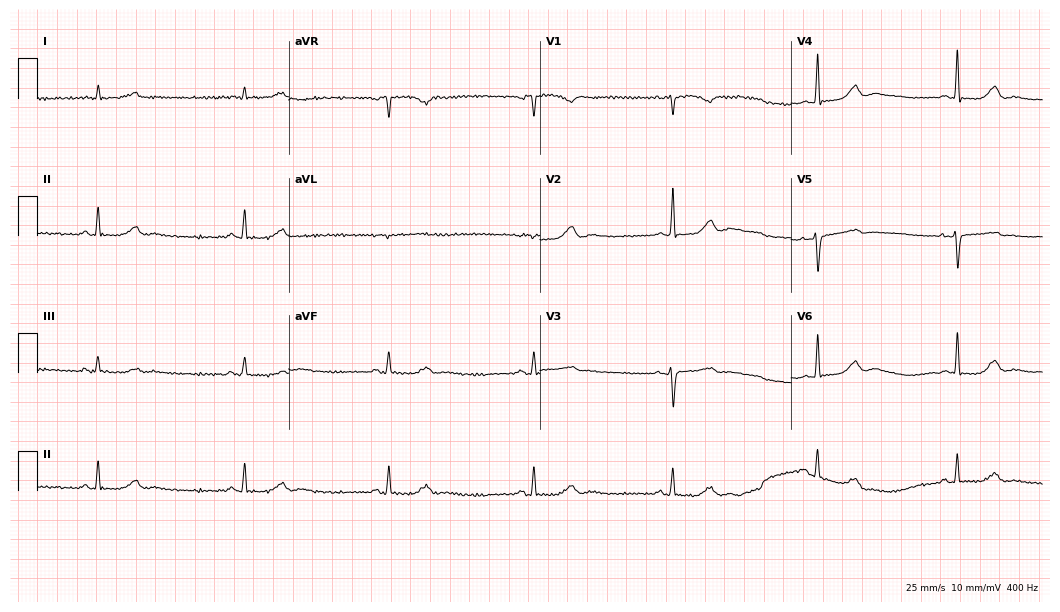
12-lead ECG from a 75-year-old female. Shows sinus bradycardia (a sinus rate of 50 beats per minute or less).